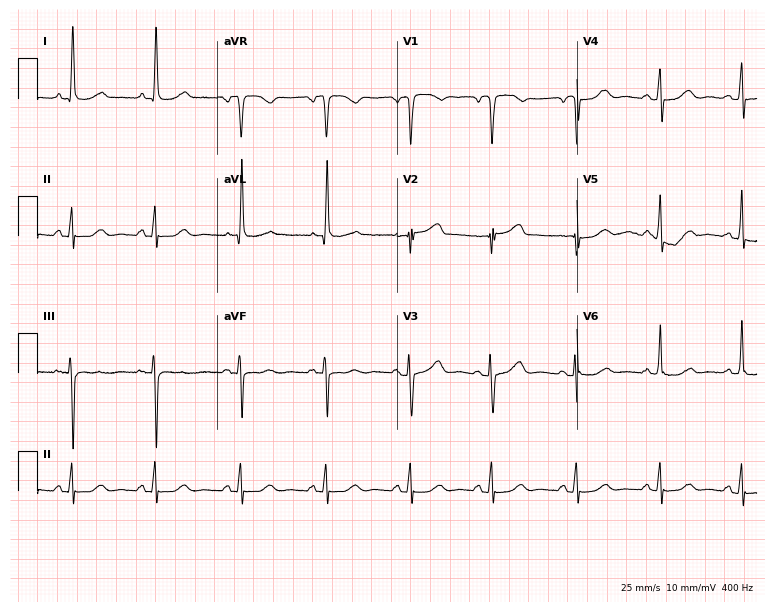
Standard 12-lead ECG recorded from a 56-year-old female patient (7.3-second recording at 400 Hz). Read as a normal ECG.